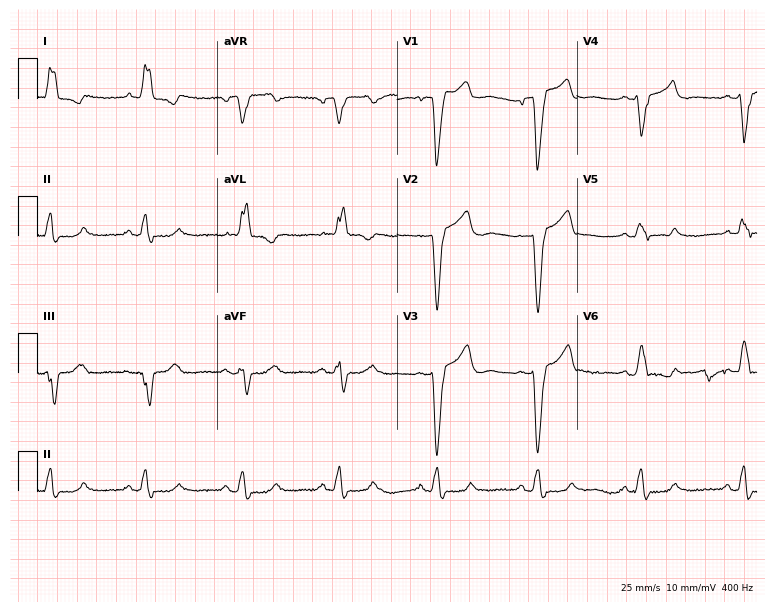
Resting 12-lead electrocardiogram (7.3-second recording at 400 Hz). Patient: a 52-year-old woman. The tracing shows left bundle branch block (LBBB).